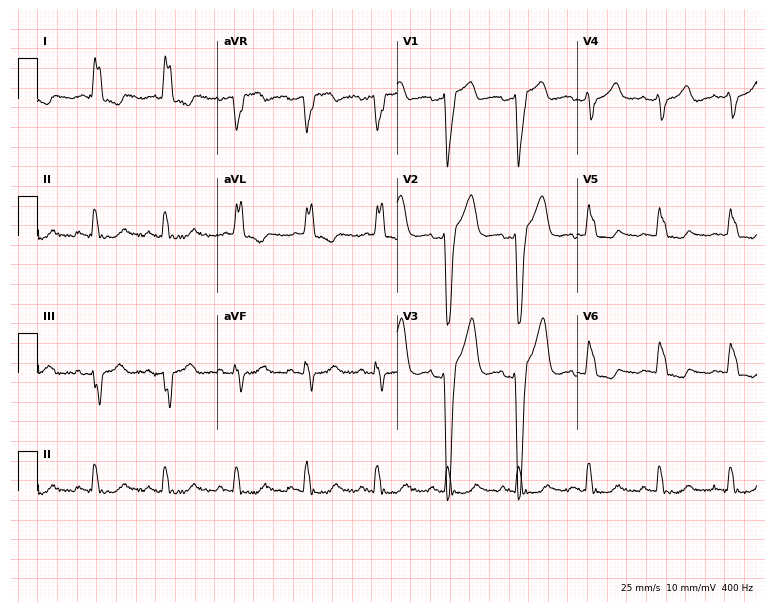
ECG (7.3-second recording at 400 Hz) — a female, 83 years old. Screened for six findings — first-degree AV block, right bundle branch block (RBBB), left bundle branch block (LBBB), sinus bradycardia, atrial fibrillation (AF), sinus tachycardia — none is recorded. Findings outside these six are not listed.